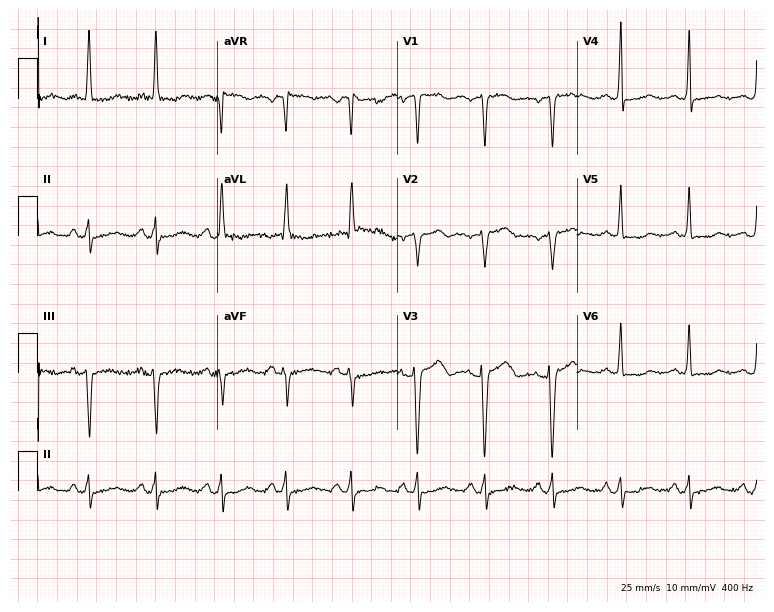
Resting 12-lead electrocardiogram. Patient: a woman, 79 years old. None of these six findings is recorded: first-degree AV block, right bundle branch block (RBBB), left bundle branch block (LBBB), sinus bradycardia, atrial fibrillation (AF), sinus tachycardia.